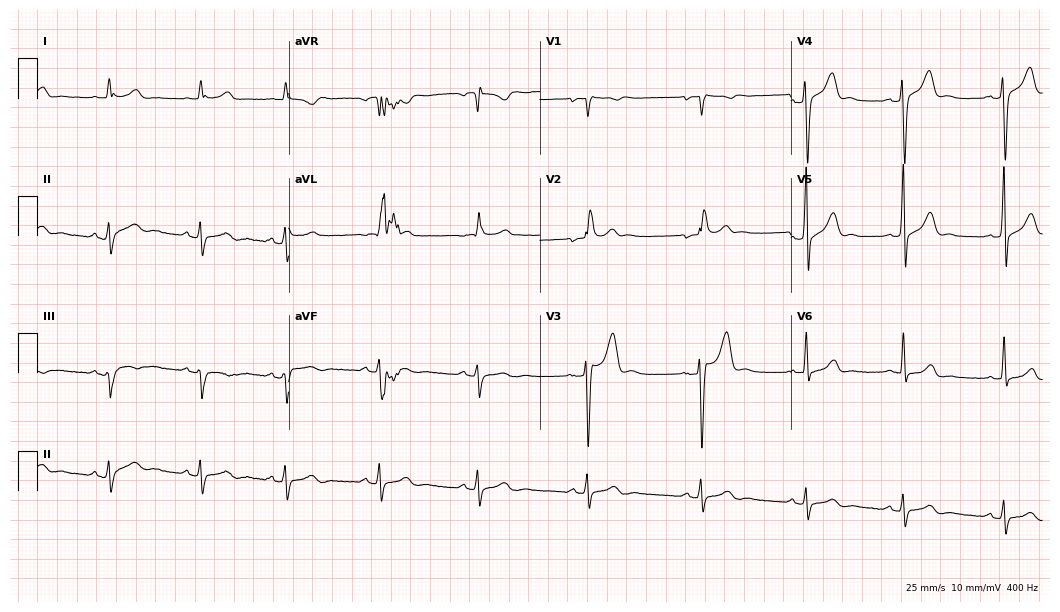
ECG — a 25-year-old male patient. Screened for six findings — first-degree AV block, right bundle branch block, left bundle branch block, sinus bradycardia, atrial fibrillation, sinus tachycardia — none is recorded. Only these six findings were labelled.